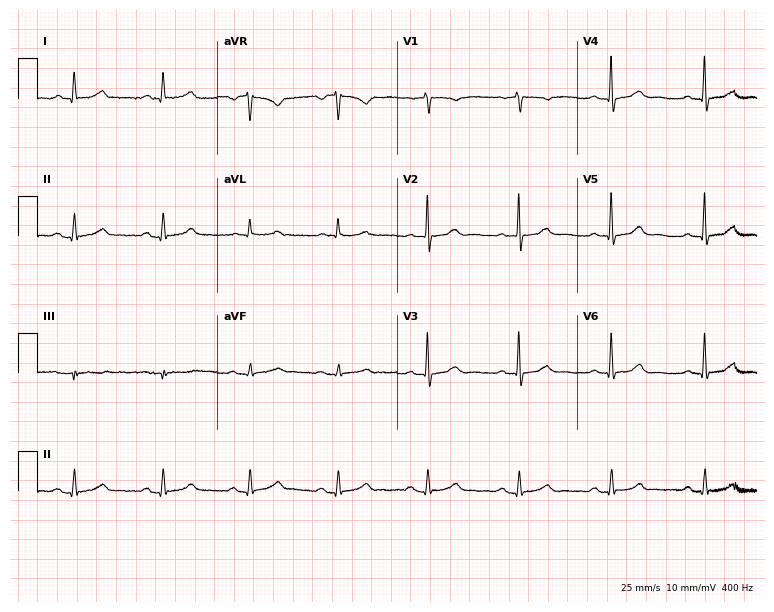
12-lead ECG from a male, 72 years old. No first-degree AV block, right bundle branch block, left bundle branch block, sinus bradycardia, atrial fibrillation or sinus tachycardia recorded for this tracing.